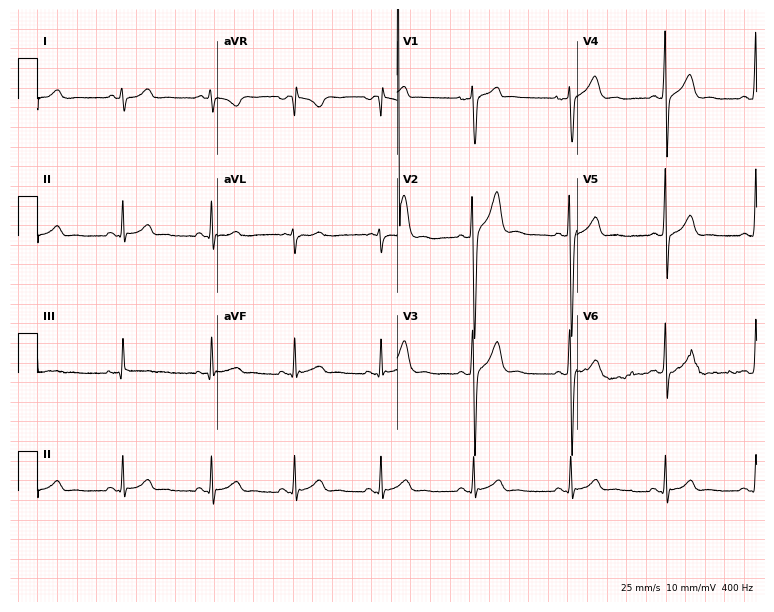
12-lead ECG (7.3-second recording at 400 Hz) from a man, 28 years old. Screened for six findings — first-degree AV block, right bundle branch block, left bundle branch block, sinus bradycardia, atrial fibrillation, sinus tachycardia — none is recorded.